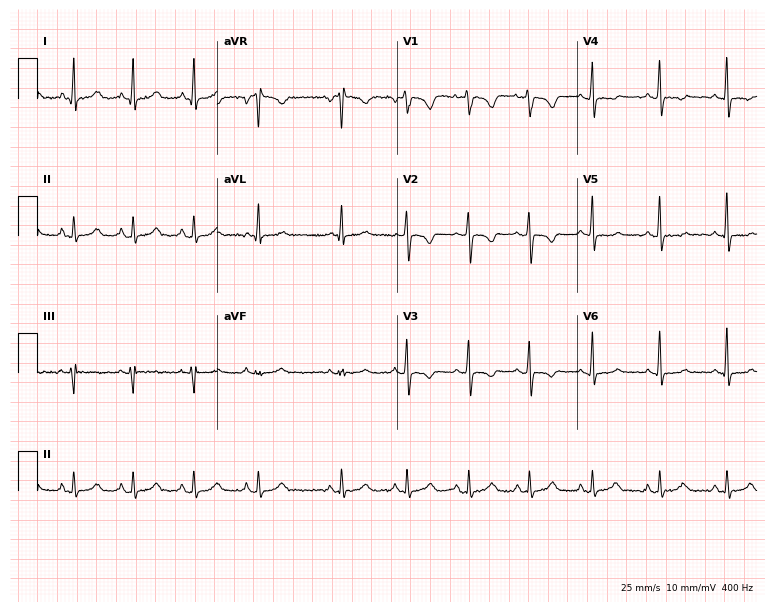
12-lead ECG from a female, 20 years old (7.3-second recording at 400 Hz). No first-degree AV block, right bundle branch block (RBBB), left bundle branch block (LBBB), sinus bradycardia, atrial fibrillation (AF) or sinus tachycardia recorded for this tracing.